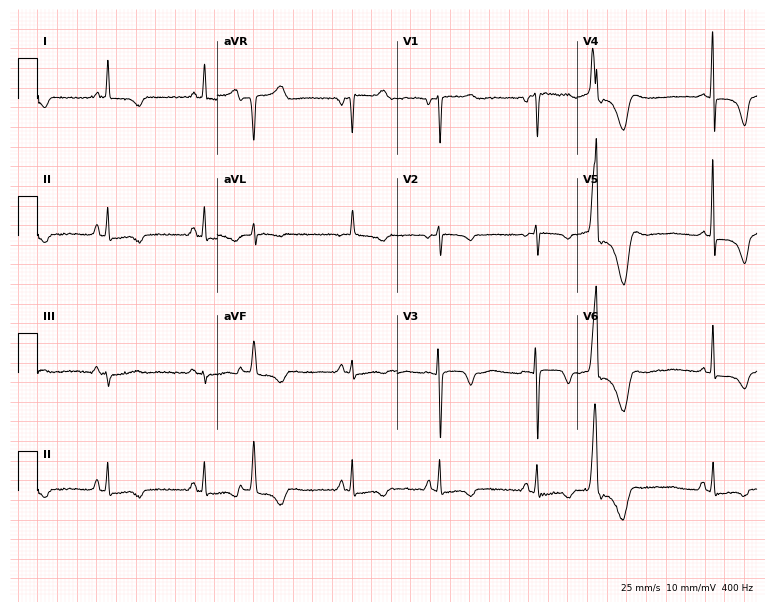
ECG (7.3-second recording at 400 Hz) — an 83-year-old female patient. Screened for six findings — first-degree AV block, right bundle branch block, left bundle branch block, sinus bradycardia, atrial fibrillation, sinus tachycardia — none is recorded.